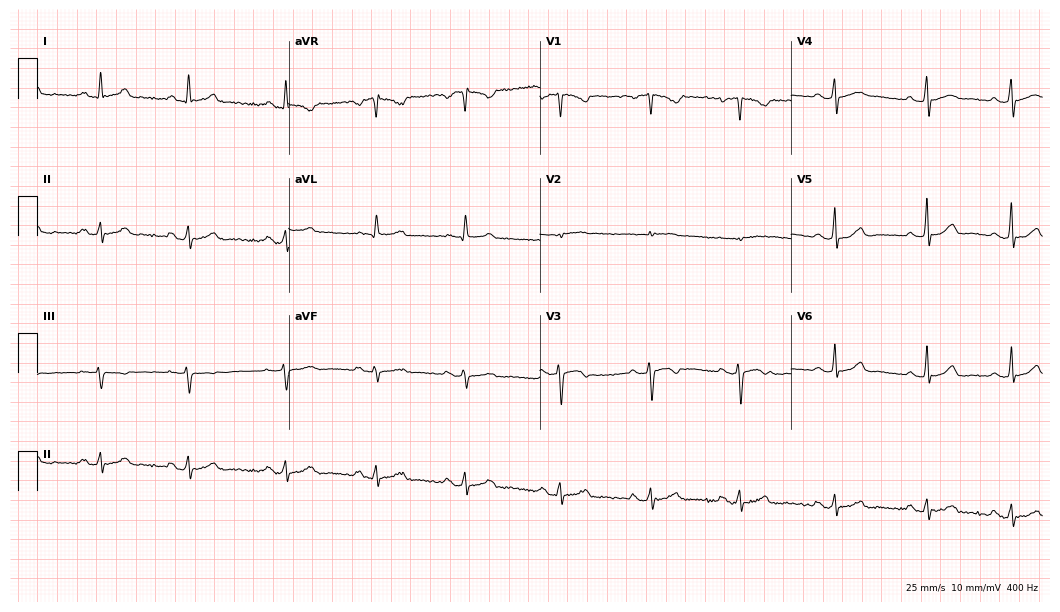
Standard 12-lead ECG recorded from a woman, 34 years old. None of these six findings is recorded: first-degree AV block, right bundle branch block, left bundle branch block, sinus bradycardia, atrial fibrillation, sinus tachycardia. Only these six findings were labelled.